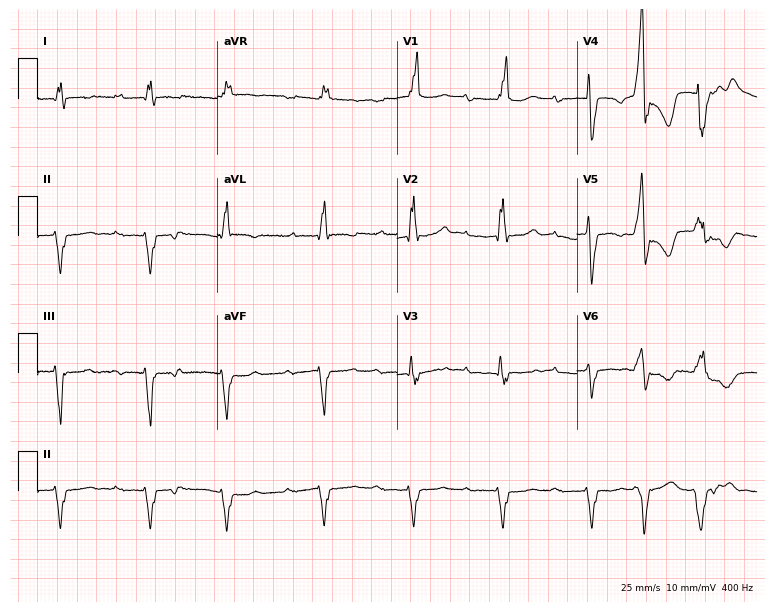
12-lead ECG from a 65-year-old man. Findings include first-degree AV block, right bundle branch block (RBBB), left bundle branch block (LBBB).